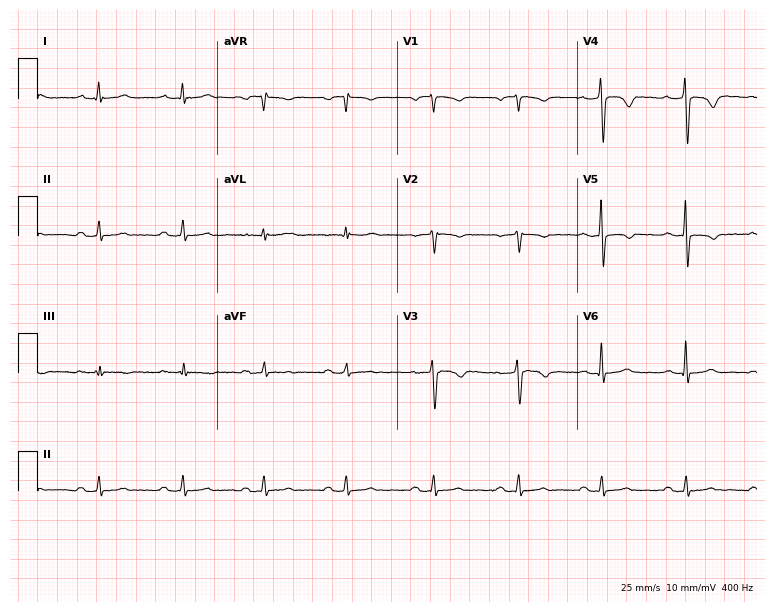
12-lead ECG (7.3-second recording at 400 Hz) from a 52-year-old man. Screened for six findings — first-degree AV block, right bundle branch block, left bundle branch block, sinus bradycardia, atrial fibrillation, sinus tachycardia — none is recorded.